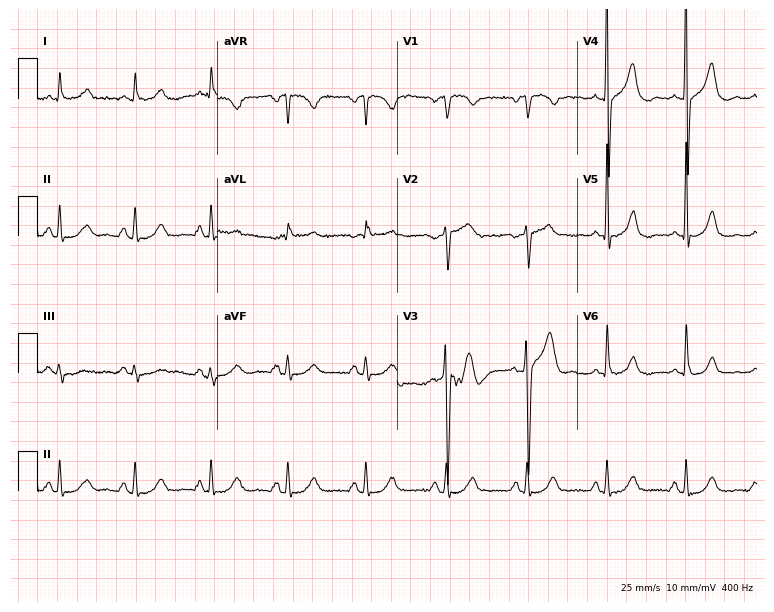
Standard 12-lead ECG recorded from a male, 61 years old. Read as a normal ECG.